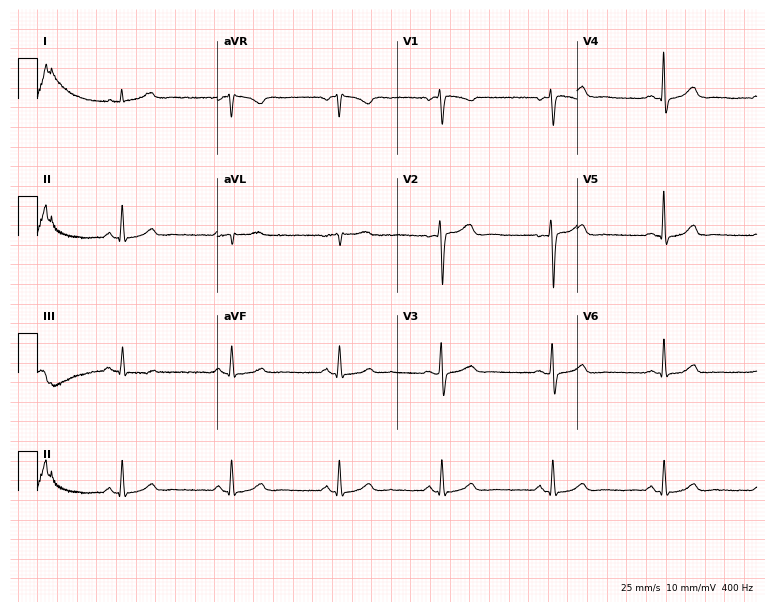
Resting 12-lead electrocardiogram (7.3-second recording at 400 Hz). Patient: a female, 54 years old. Read as a normal ECG.